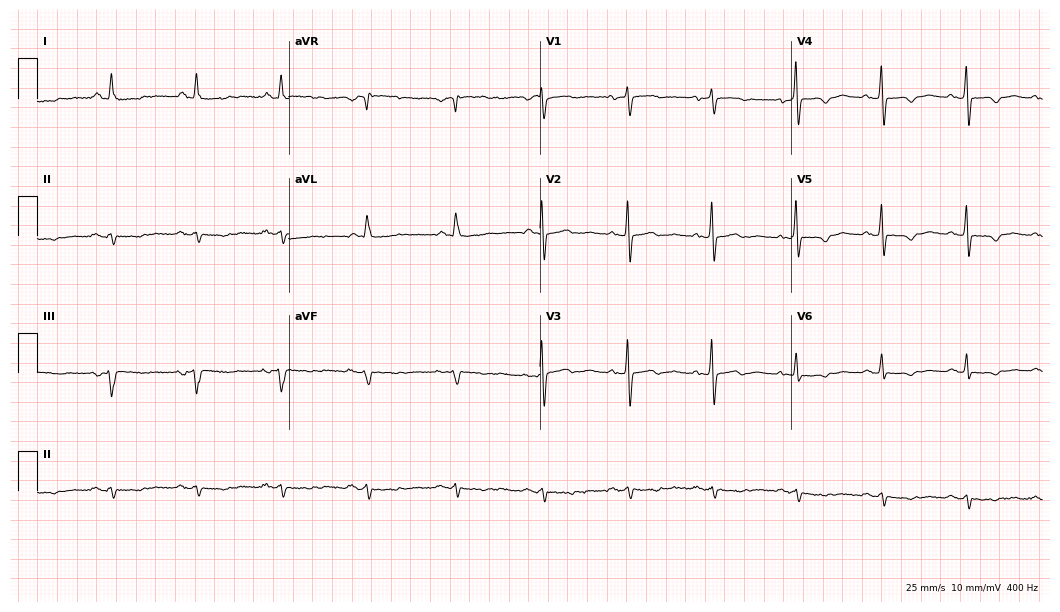
Resting 12-lead electrocardiogram. Patient: a 65-year-old female. None of these six findings is recorded: first-degree AV block, right bundle branch block, left bundle branch block, sinus bradycardia, atrial fibrillation, sinus tachycardia. Other findings, if any, are not listed.